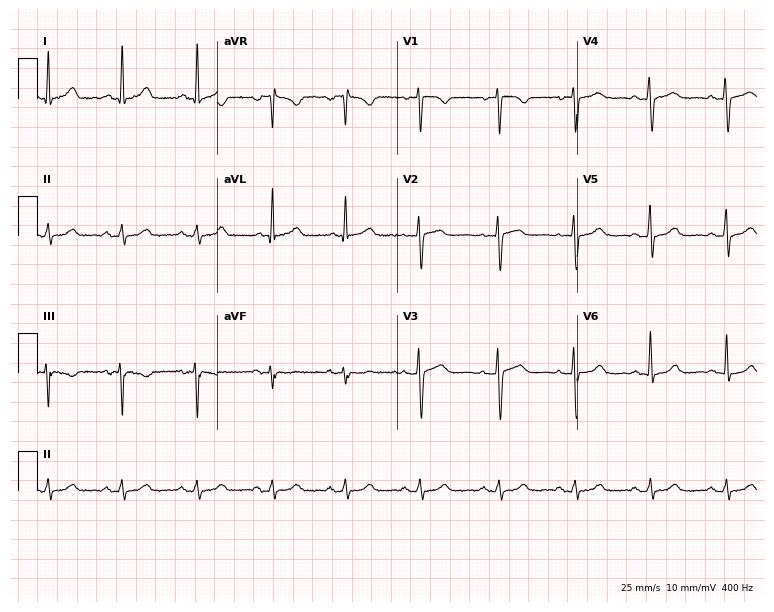
12-lead ECG from a 47-year-old female. Labelled as a normal ECG.